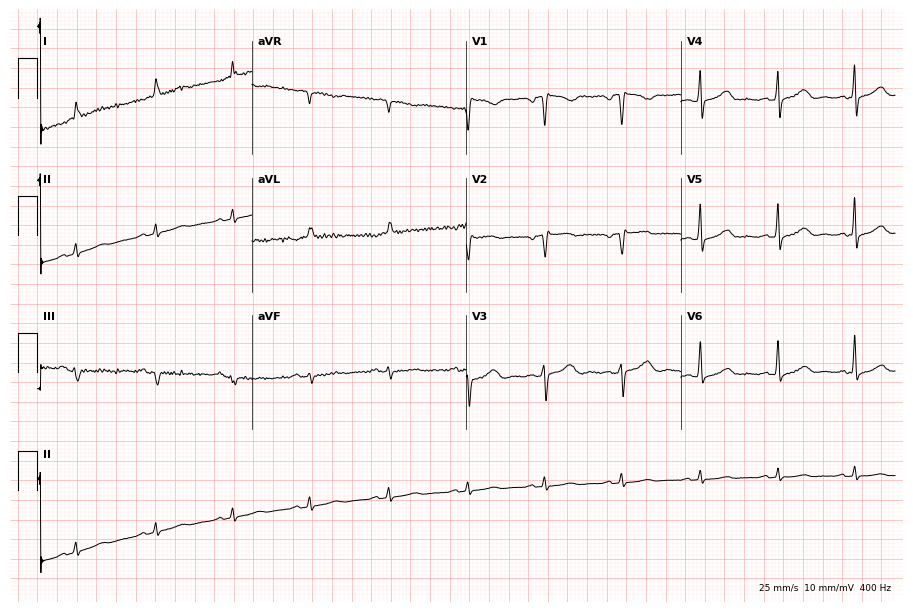
Standard 12-lead ECG recorded from a female patient, 67 years old (8.7-second recording at 400 Hz). None of these six findings is recorded: first-degree AV block, right bundle branch block, left bundle branch block, sinus bradycardia, atrial fibrillation, sinus tachycardia. Other findings, if any, are not listed.